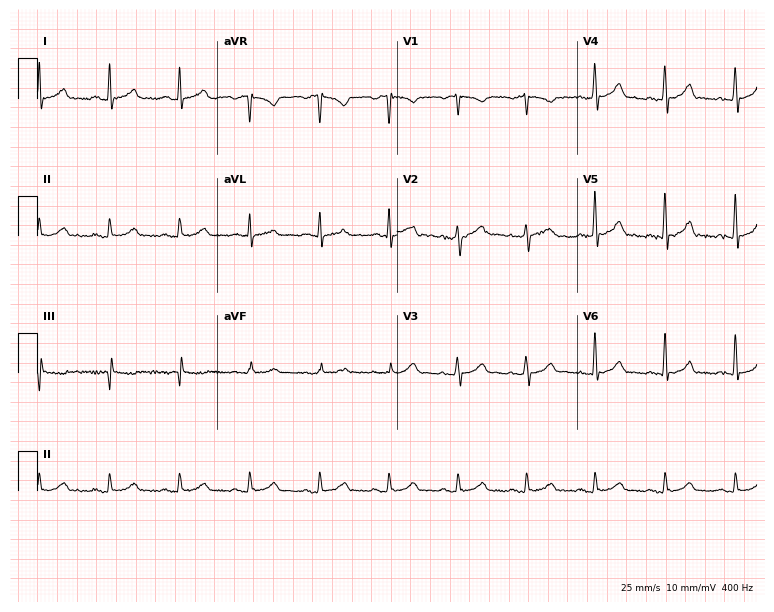
12-lead ECG from a male, 44 years old. Recorded interpretation: within normal limits.